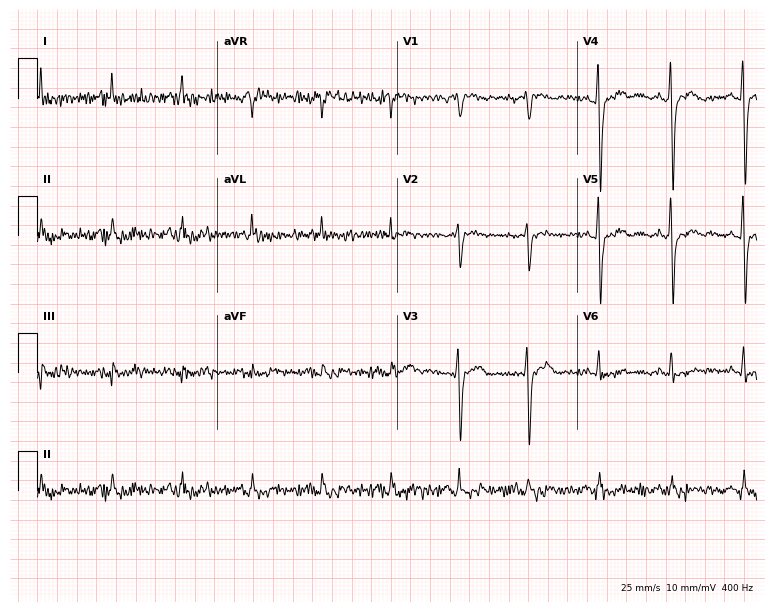
12-lead ECG from a 61-year-old male. Screened for six findings — first-degree AV block, right bundle branch block, left bundle branch block, sinus bradycardia, atrial fibrillation, sinus tachycardia — none is recorded.